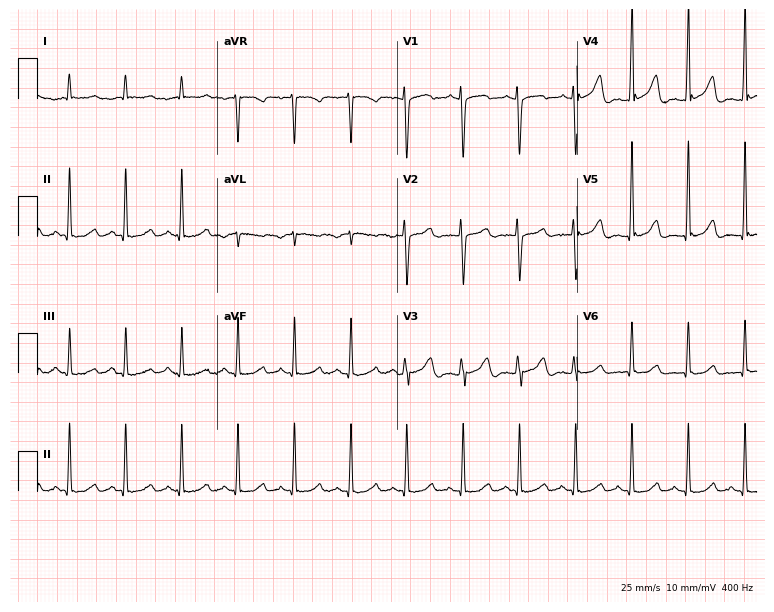
Resting 12-lead electrocardiogram (7.3-second recording at 400 Hz). Patient: a female, 24 years old. Read as a normal ECG.